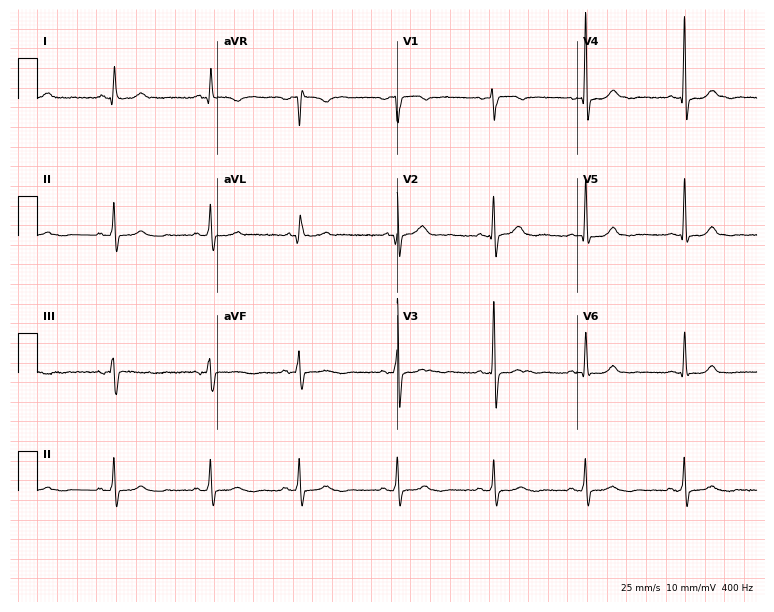
ECG (7.3-second recording at 400 Hz) — a 28-year-old woman. Screened for six findings — first-degree AV block, right bundle branch block, left bundle branch block, sinus bradycardia, atrial fibrillation, sinus tachycardia — none is recorded. Only these six findings were labelled.